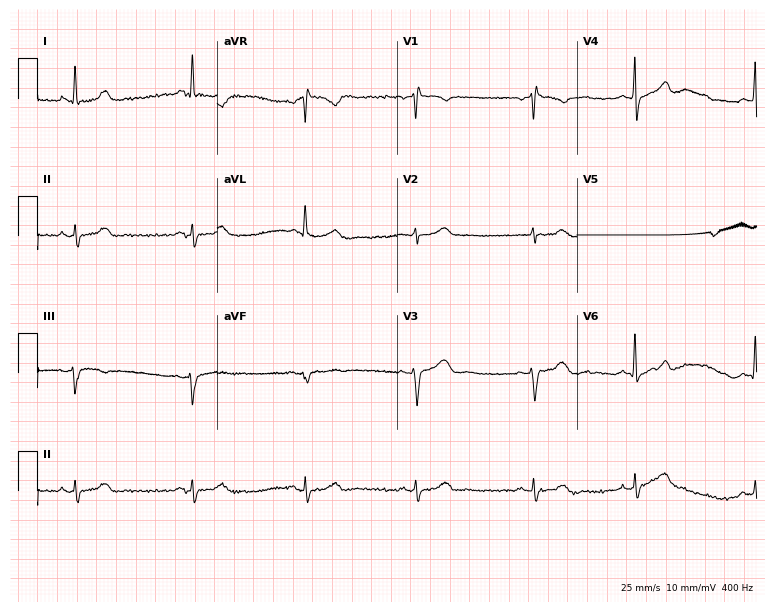
Standard 12-lead ECG recorded from a woman, 57 years old (7.3-second recording at 400 Hz). None of these six findings is recorded: first-degree AV block, right bundle branch block (RBBB), left bundle branch block (LBBB), sinus bradycardia, atrial fibrillation (AF), sinus tachycardia. Only these six findings were labelled.